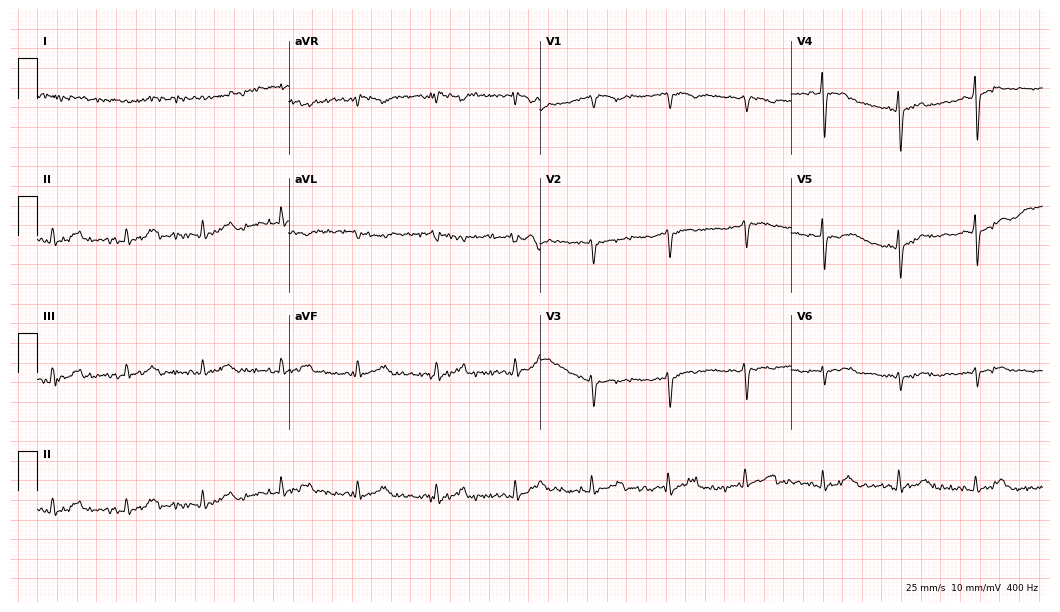
Resting 12-lead electrocardiogram. Patient: a female, 60 years old. None of these six findings is recorded: first-degree AV block, right bundle branch block, left bundle branch block, sinus bradycardia, atrial fibrillation, sinus tachycardia.